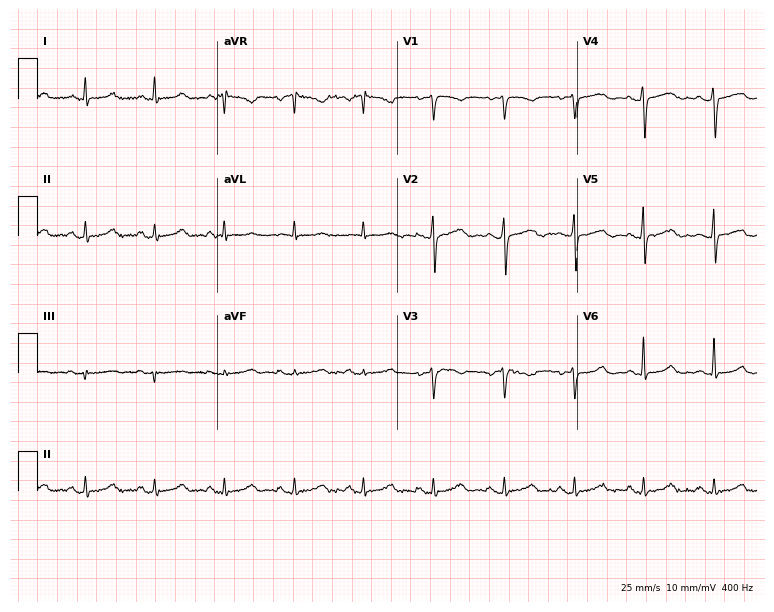
Electrocardiogram (7.3-second recording at 400 Hz), a female patient, 39 years old. Overall reading on record: normal ECG.